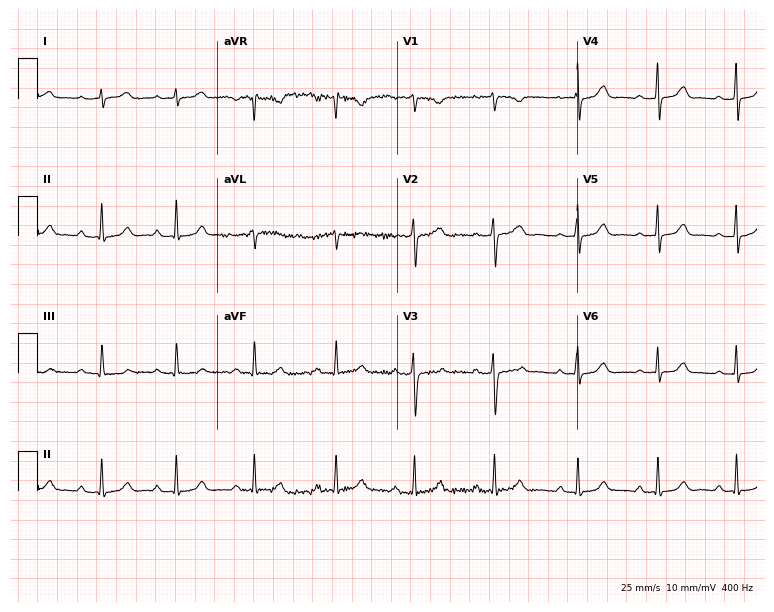
ECG (7.3-second recording at 400 Hz) — a 21-year-old female patient. Labelled as a normal ECG.